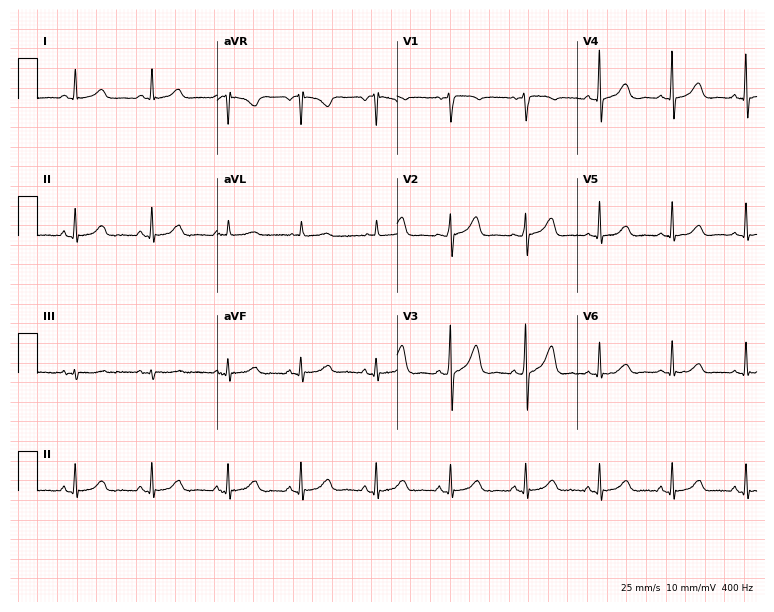
Electrocardiogram (7.3-second recording at 400 Hz), a 76-year-old woman. Of the six screened findings (first-degree AV block, right bundle branch block, left bundle branch block, sinus bradycardia, atrial fibrillation, sinus tachycardia), none is recorded.